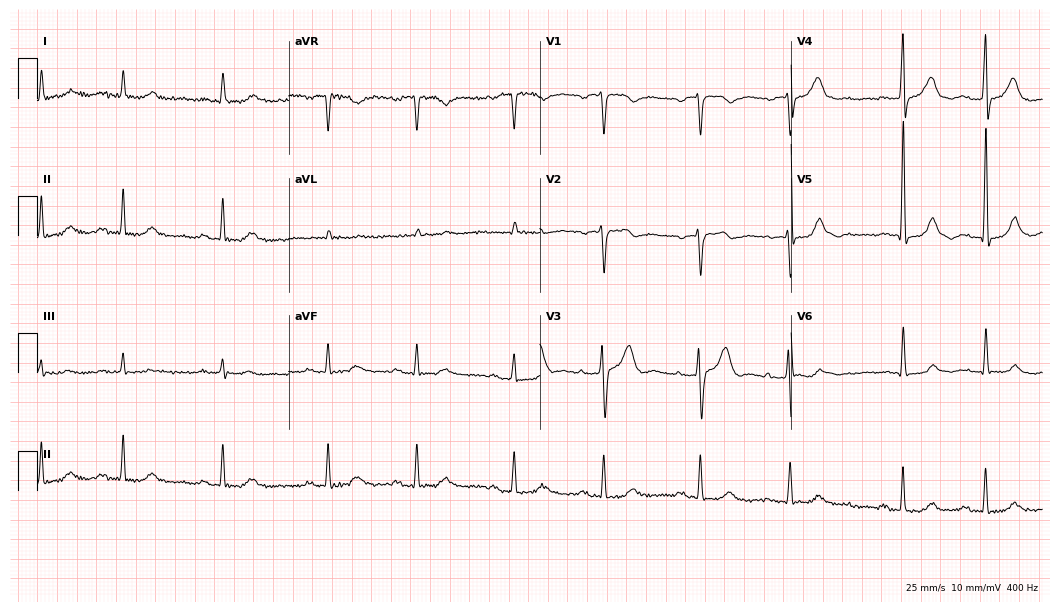
12-lead ECG from a man, 83 years old. Screened for six findings — first-degree AV block, right bundle branch block, left bundle branch block, sinus bradycardia, atrial fibrillation, sinus tachycardia — none is recorded. Findings outside these six are not listed.